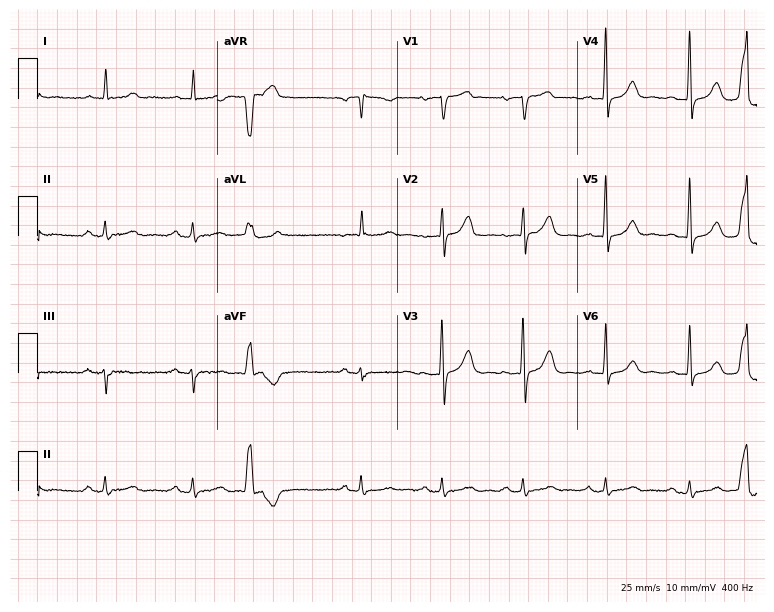
Electrocardiogram (7.3-second recording at 400 Hz), a 78-year-old man. Overall reading on record: normal ECG.